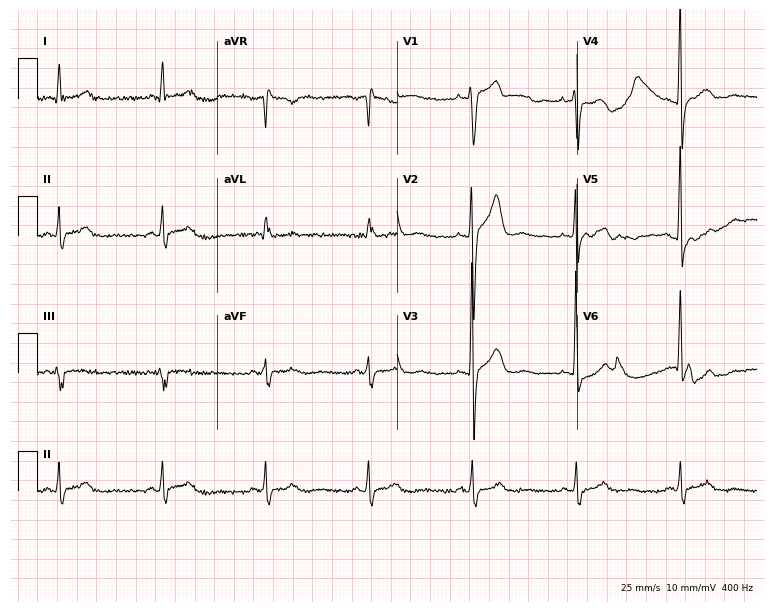
Standard 12-lead ECG recorded from a 62-year-old male. None of these six findings is recorded: first-degree AV block, right bundle branch block, left bundle branch block, sinus bradycardia, atrial fibrillation, sinus tachycardia.